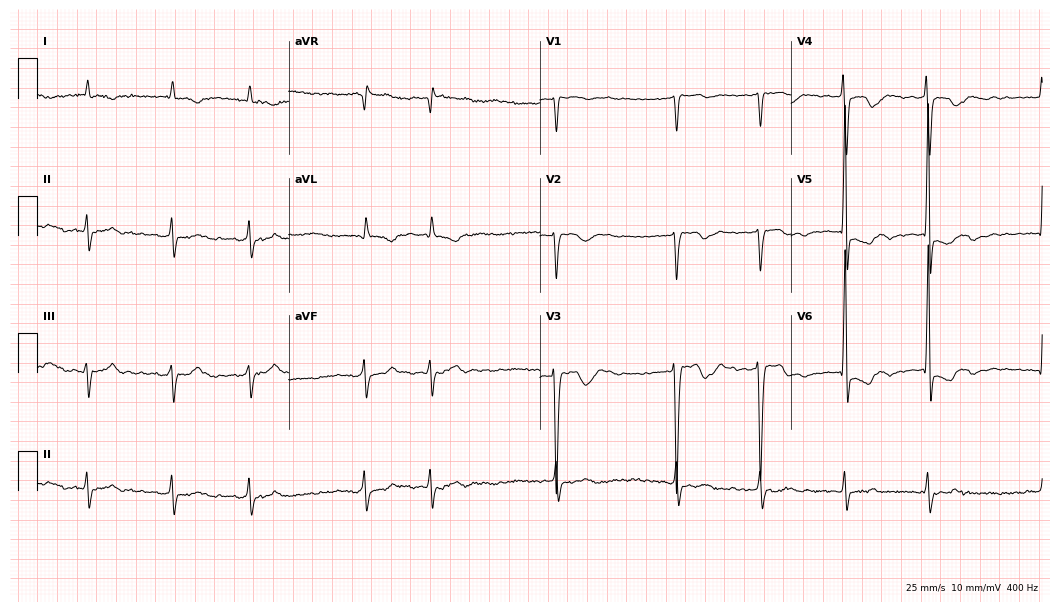
12-lead ECG from a male, 76 years old. Findings include atrial fibrillation.